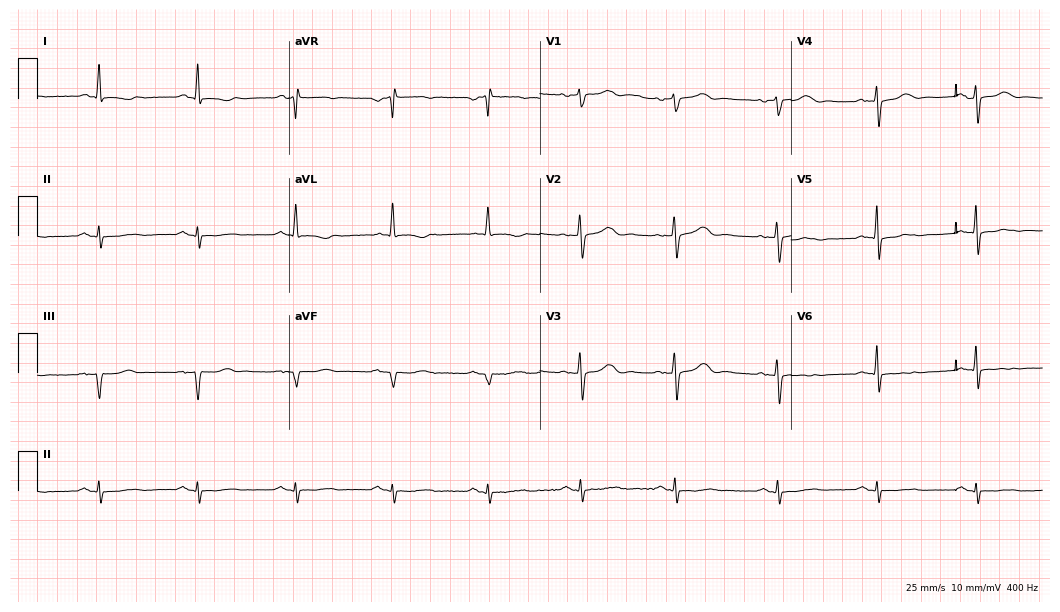
Resting 12-lead electrocardiogram. Patient: a female, 79 years old. Read as a normal ECG.